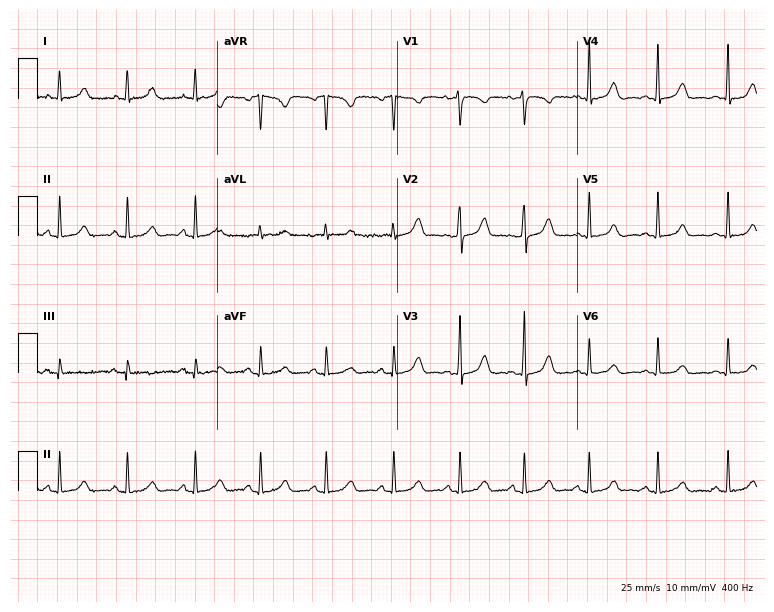
12-lead ECG from a female, 32 years old. Labelled as a normal ECG.